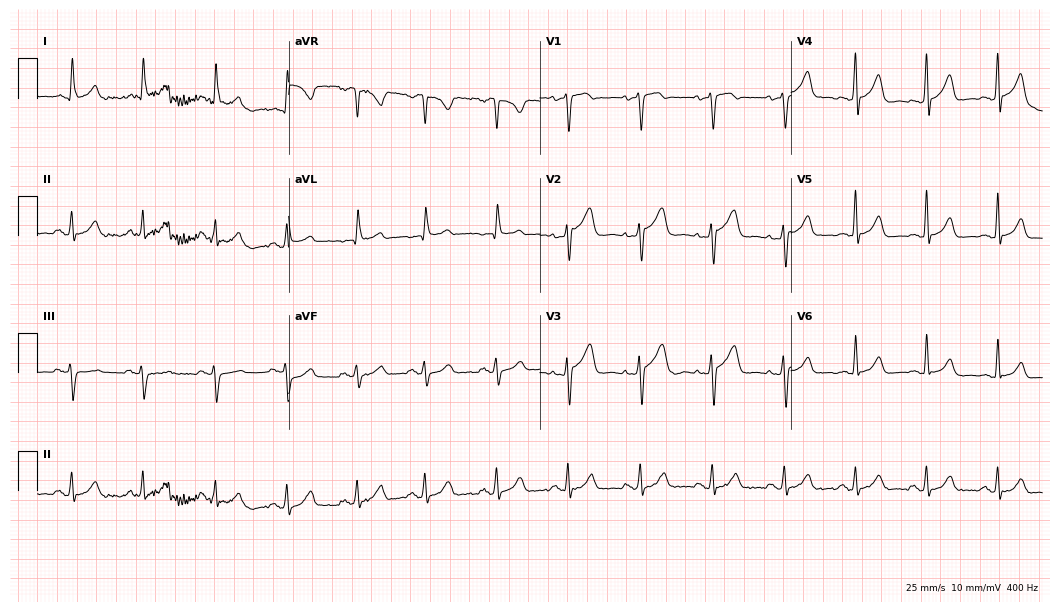
ECG (10.2-second recording at 400 Hz) — a female, 52 years old. Labelled as a normal ECG.